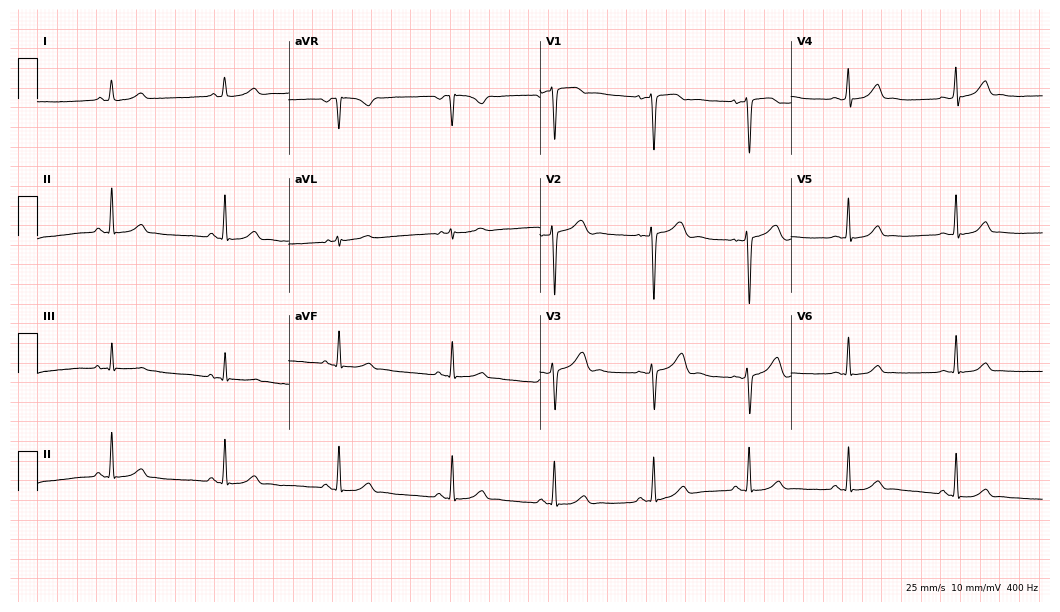
Standard 12-lead ECG recorded from a female patient, 24 years old. Read as a normal ECG.